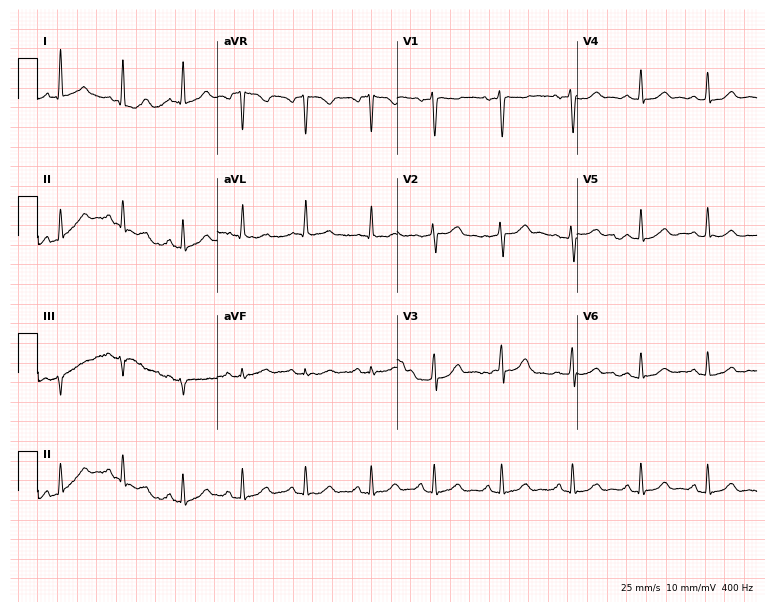
Electrocardiogram (7.3-second recording at 400 Hz), a 27-year-old female. Overall reading on record: normal ECG.